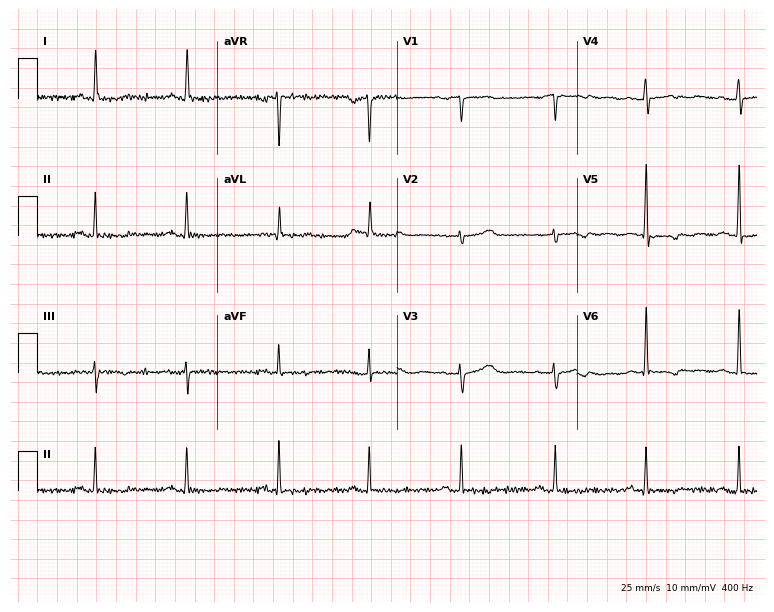
12-lead ECG from an 84-year-old female patient. Screened for six findings — first-degree AV block, right bundle branch block (RBBB), left bundle branch block (LBBB), sinus bradycardia, atrial fibrillation (AF), sinus tachycardia — none is recorded.